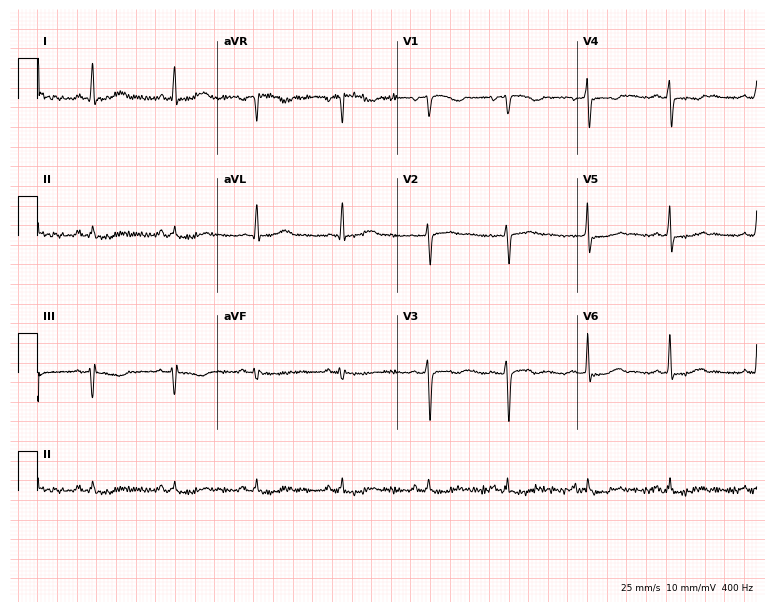
12-lead ECG (7.3-second recording at 400 Hz) from a 46-year-old woman. Screened for six findings — first-degree AV block, right bundle branch block, left bundle branch block, sinus bradycardia, atrial fibrillation, sinus tachycardia — none is recorded. Only these six findings were labelled.